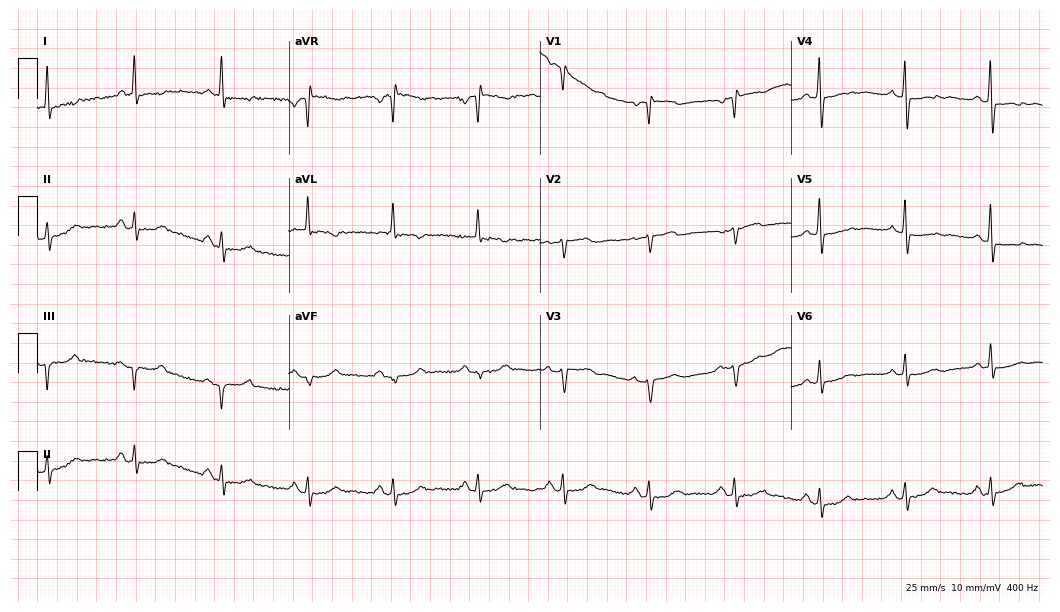
Resting 12-lead electrocardiogram (10.2-second recording at 400 Hz). Patient: a woman, 74 years old. None of these six findings is recorded: first-degree AV block, right bundle branch block, left bundle branch block, sinus bradycardia, atrial fibrillation, sinus tachycardia. Only these six findings were labelled.